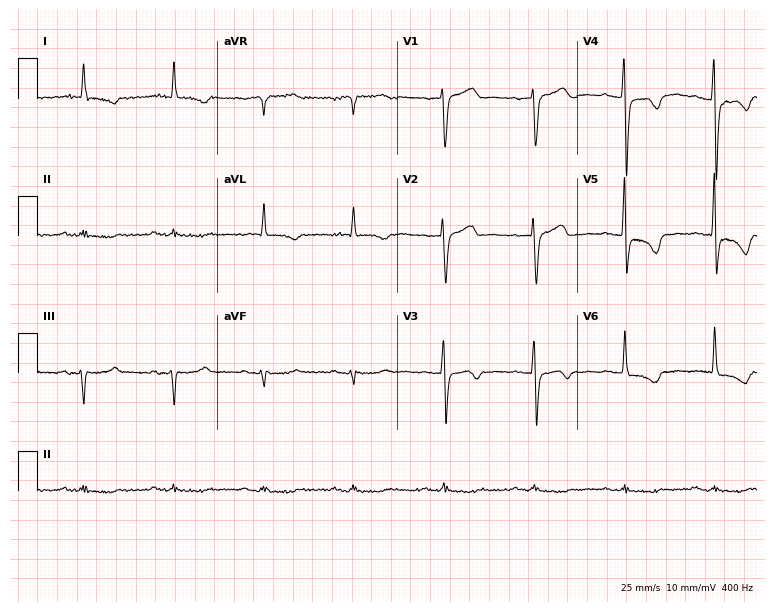
Standard 12-lead ECG recorded from an 83-year-old male. None of these six findings is recorded: first-degree AV block, right bundle branch block, left bundle branch block, sinus bradycardia, atrial fibrillation, sinus tachycardia.